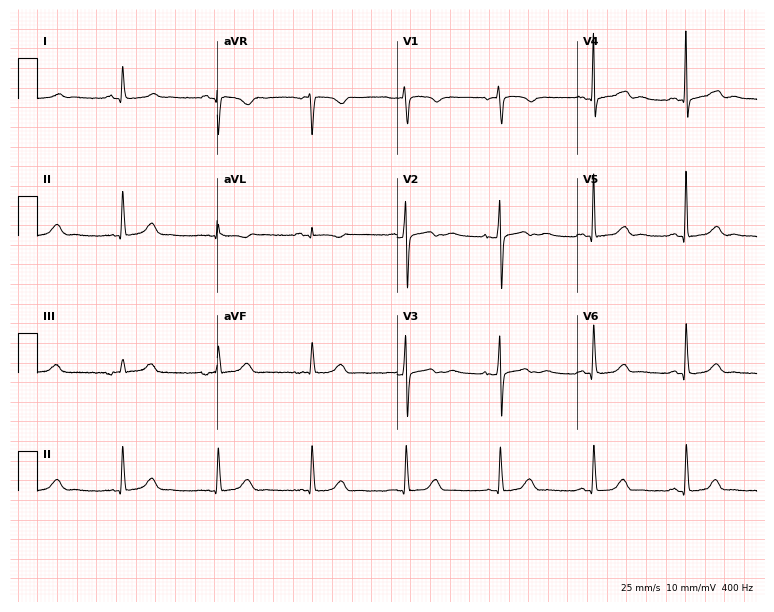
ECG (7.3-second recording at 400 Hz) — a 63-year-old female patient. Labelled as a normal ECG.